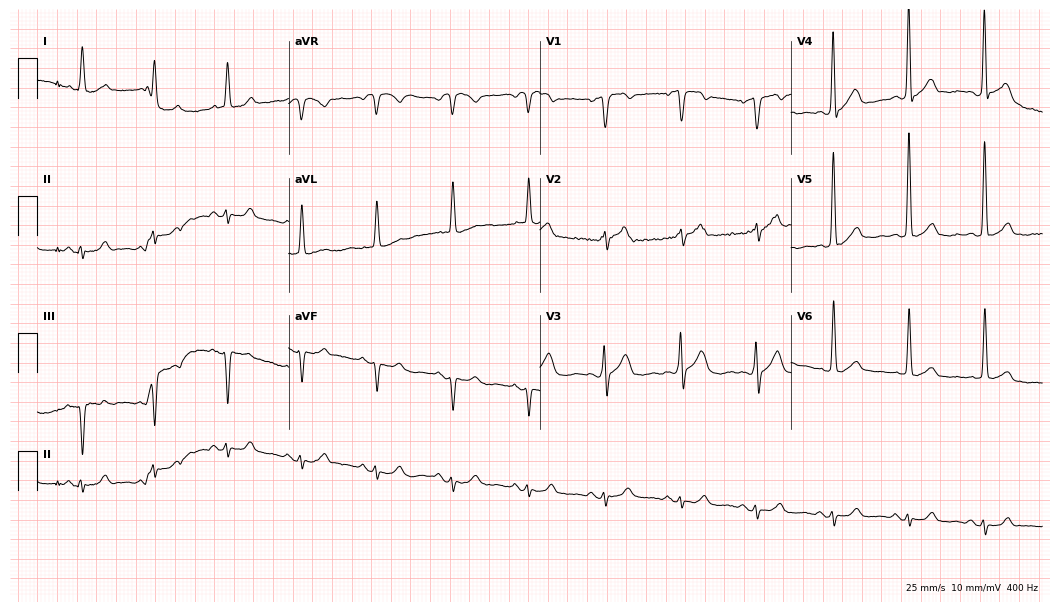
ECG (10.2-second recording at 400 Hz) — a 67-year-old man. Screened for six findings — first-degree AV block, right bundle branch block (RBBB), left bundle branch block (LBBB), sinus bradycardia, atrial fibrillation (AF), sinus tachycardia — none is recorded.